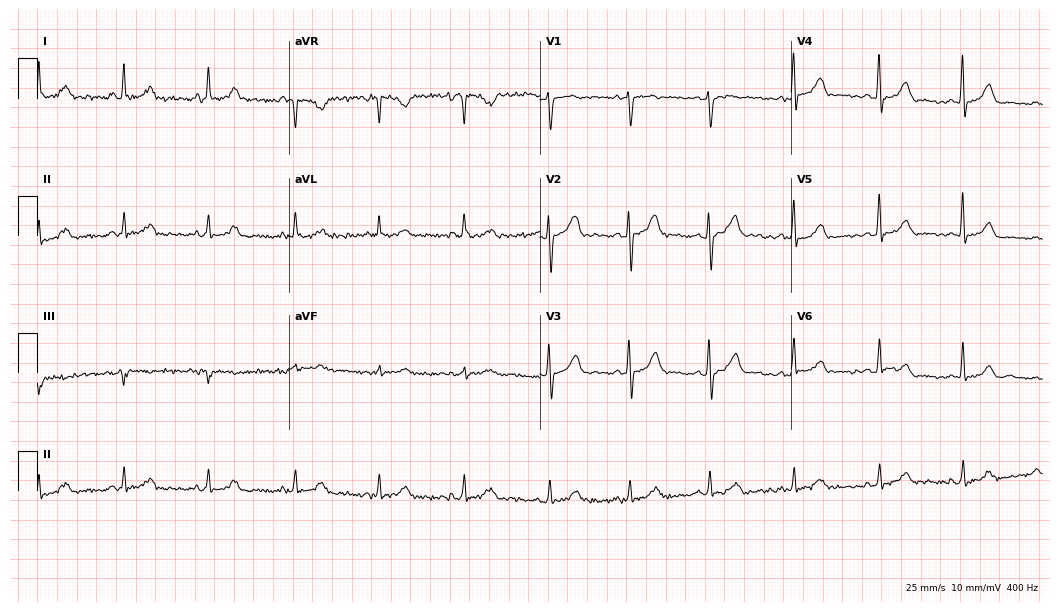
Standard 12-lead ECG recorded from a woman, 46 years old. Read as a normal ECG.